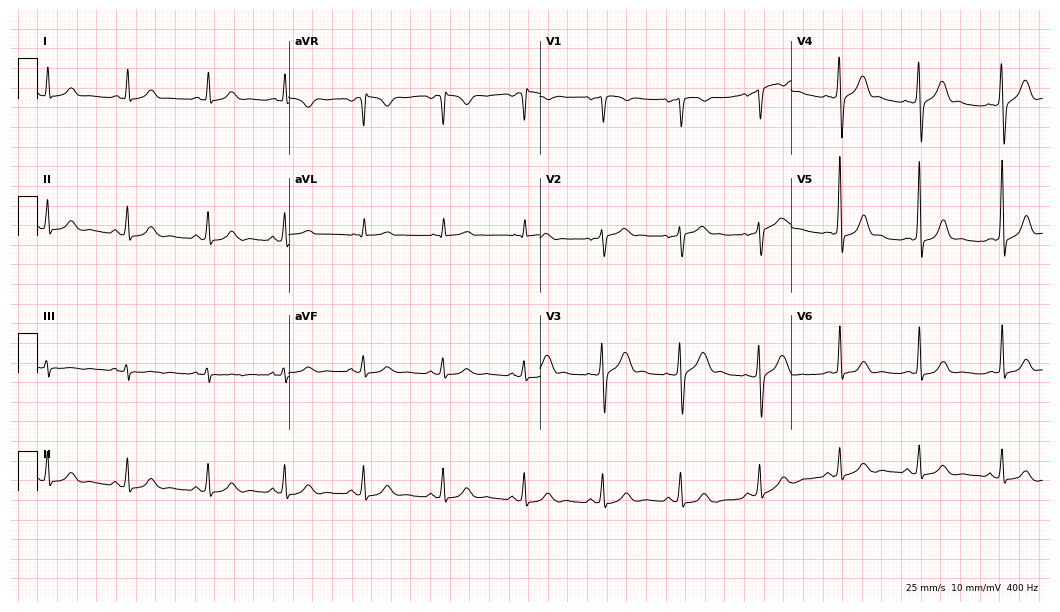
Electrocardiogram (10.2-second recording at 400 Hz), a 38-year-old female. Overall reading on record: normal ECG.